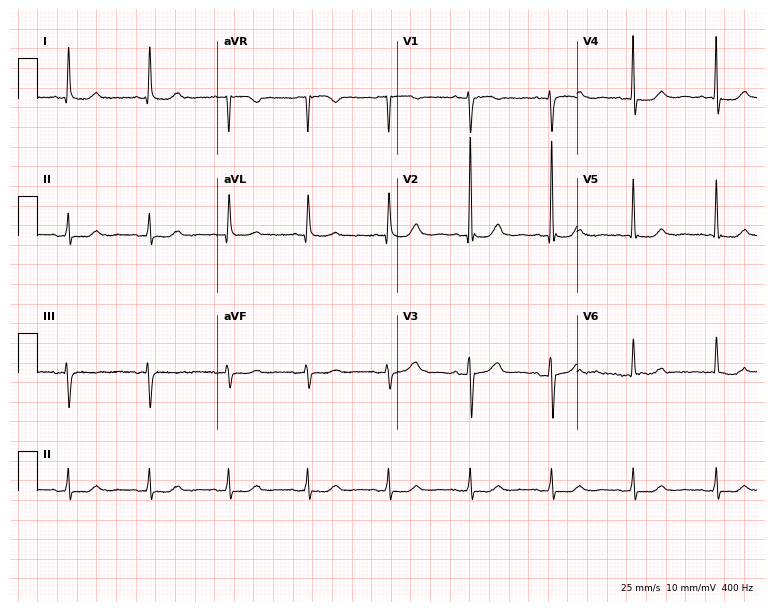
12-lead ECG (7.3-second recording at 400 Hz) from a 76-year-old female. Screened for six findings — first-degree AV block, right bundle branch block (RBBB), left bundle branch block (LBBB), sinus bradycardia, atrial fibrillation (AF), sinus tachycardia — none is recorded. Findings outside these six are not listed.